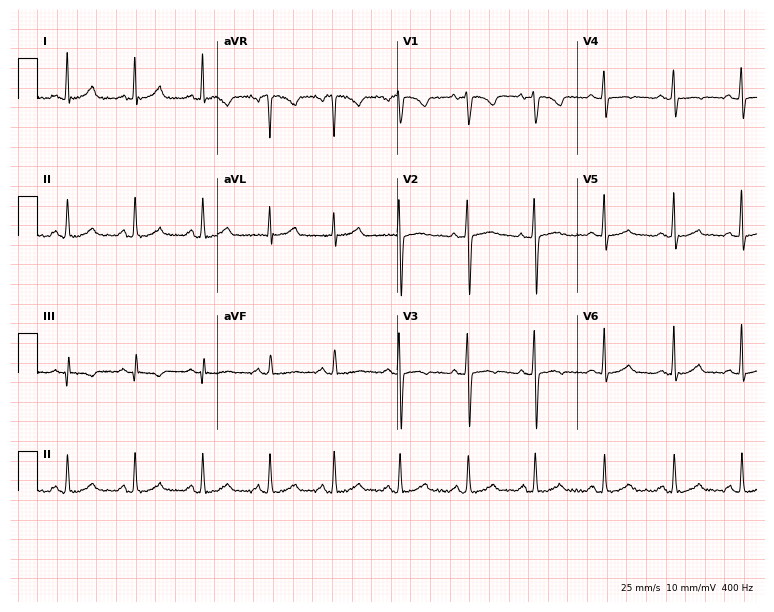
Resting 12-lead electrocardiogram (7.3-second recording at 400 Hz). Patient: a 33-year-old male. None of these six findings is recorded: first-degree AV block, right bundle branch block (RBBB), left bundle branch block (LBBB), sinus bradycardia, atrial fibrillation (AF), sinus tachycardia.